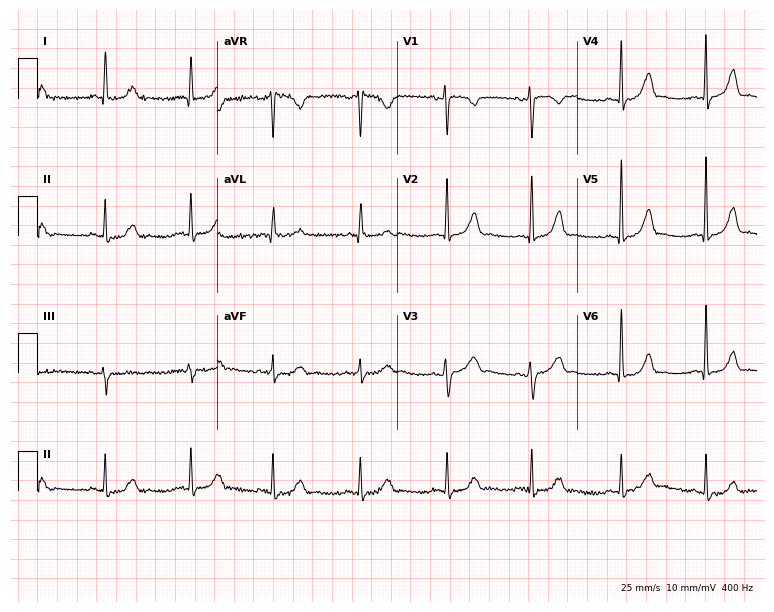
Standard 12-lead ECG recorded from a 42-year-old female patient (7.3-second recording at 400 Hz). Read as a normal ECG.